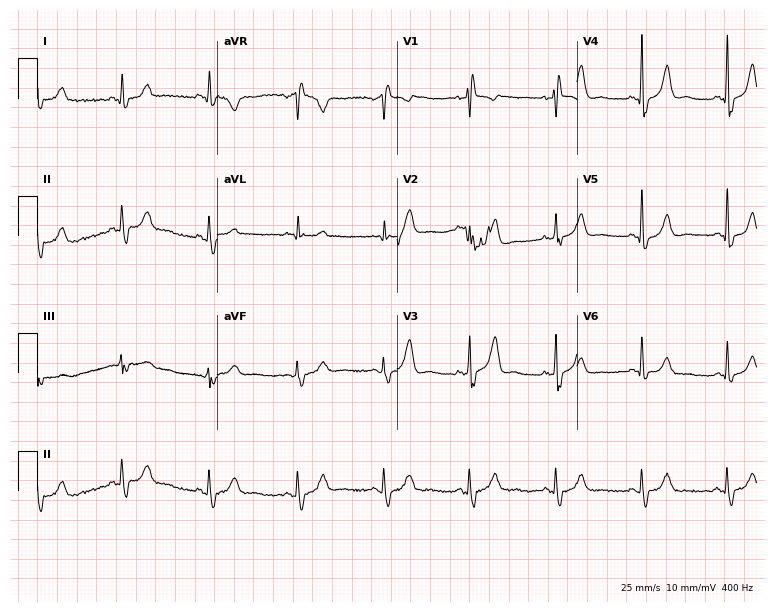
12-lead ECG from a 62-year-old male patient. Recorded interpretation: within normal limits.